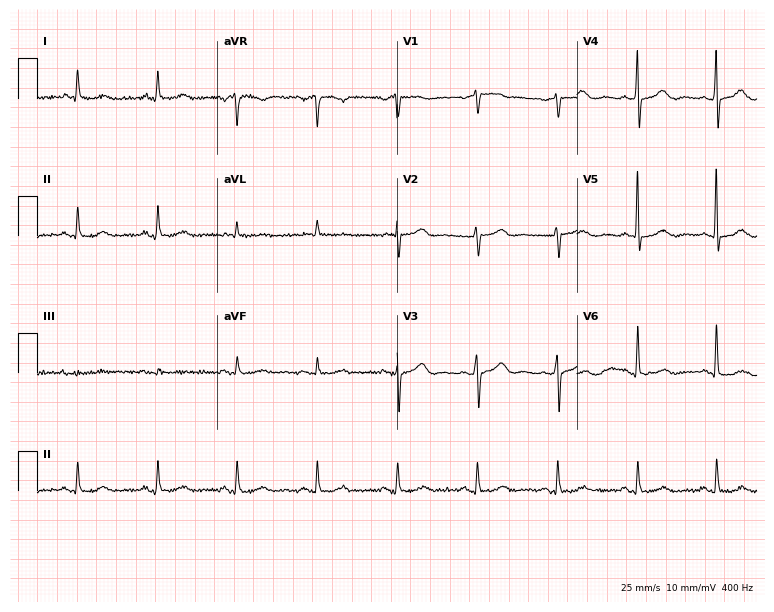
12-lead ECG from a 79-year-old female. Labelled as a normal ECG.